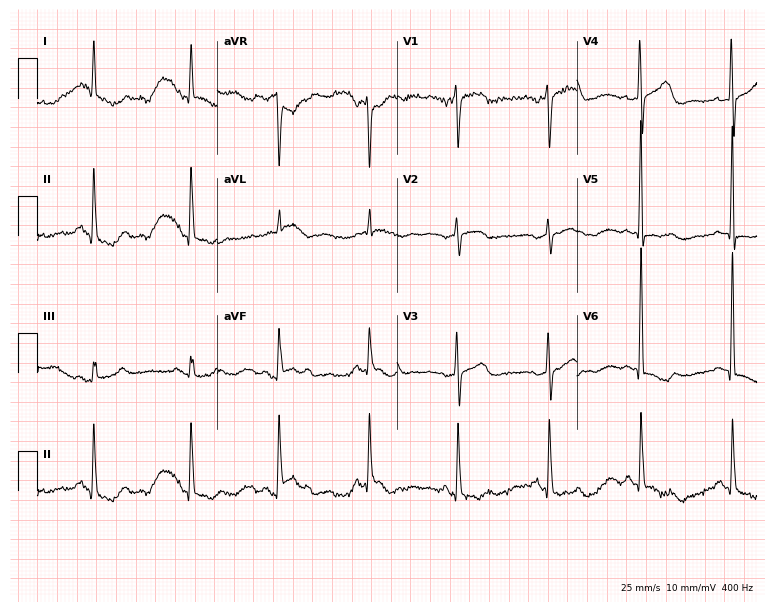
ECG (7.3-second recording at 400 Hz) — a female patient, 78 years old. Screened for six findings — first-degree AV block, right bundle branch block, left bundle branch block, sinus bradycardia, atrial fibrillation, sinus tachycardia — none is recorded.